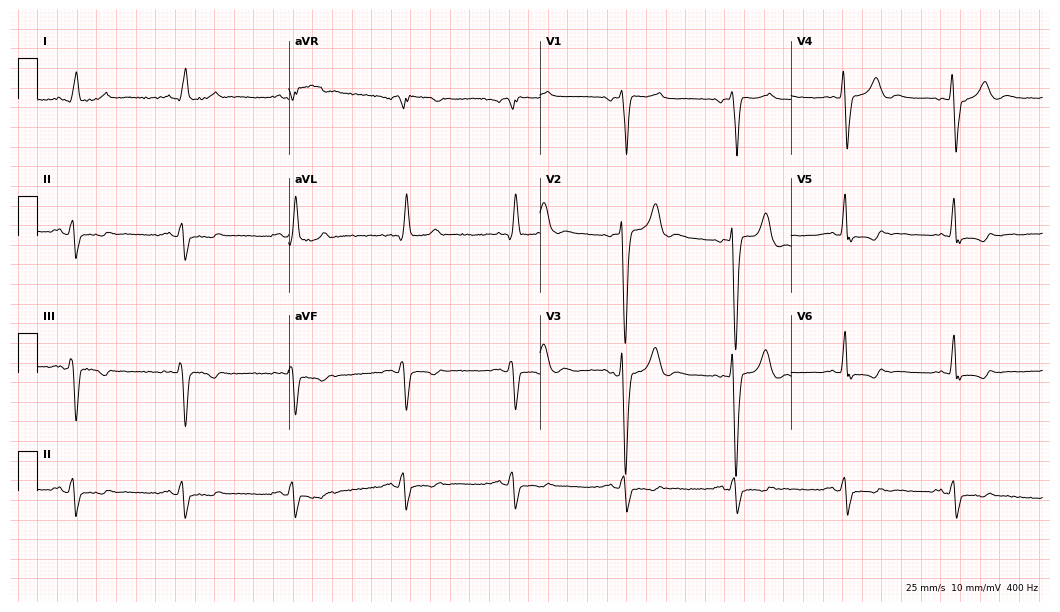
Standard 12-lead ECG recorded from a 65-year-old male. None of these six findings is recorded: first-degree AV block, right bundle branch block, left bundle branch block, sinus bradycardia, atrial fibrillation, sinus tachycardia.